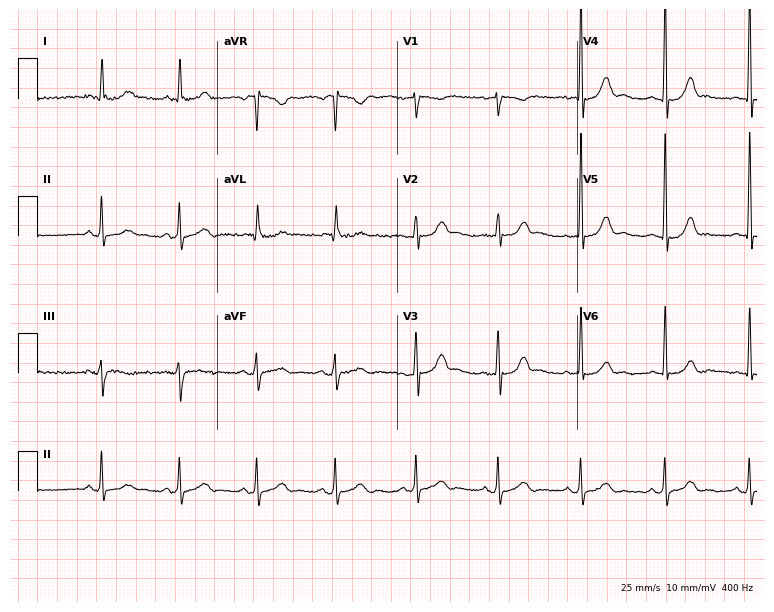
12-lead ECG from a 67-year-old man. Recorded interpretation: within normal limits.